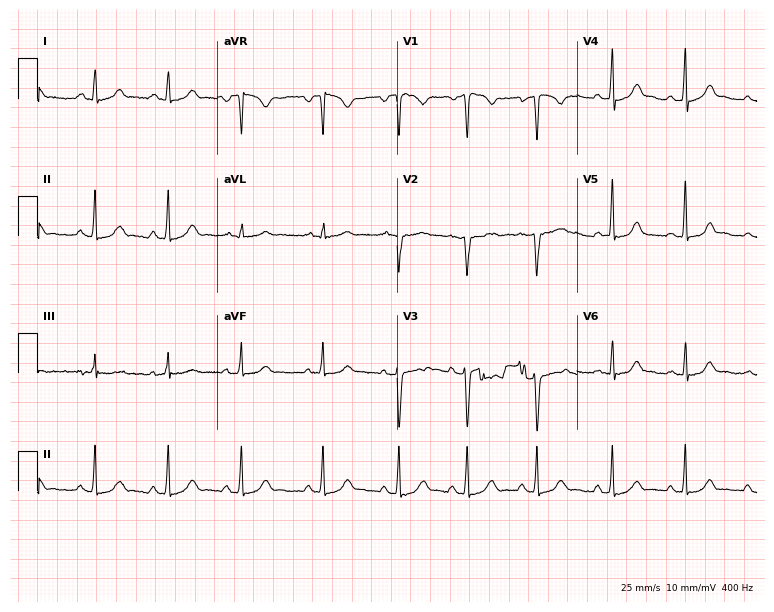
Resting 12-lead electrocardiogram (7.3-second recording at 400 Hz). Patient: a 23-year-old female. None of these six findings is recorded: first-degree AV block, right bundle branch block, left bundle branch block, sinus bradycardia, atrial fibrillation, sinus tachycardia. Other findings, if any, are not listed.